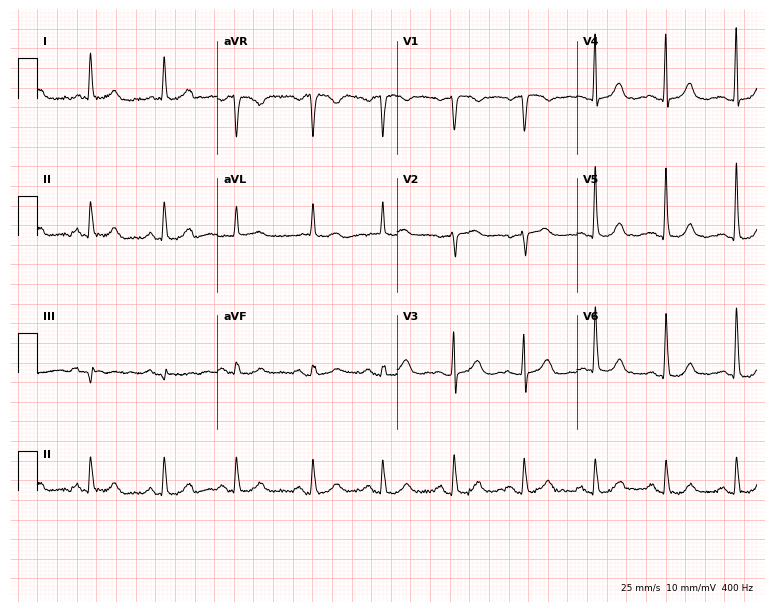
Standard 12-lead ECG recorded from a female patient, 82 years old. None of these six findings is recorded: first-degree AV block, right bundle branch block, left bundle branch block, sinus bradycardia, atrial fibrillation, sinus tachycardia. Only these six findings were labelled.